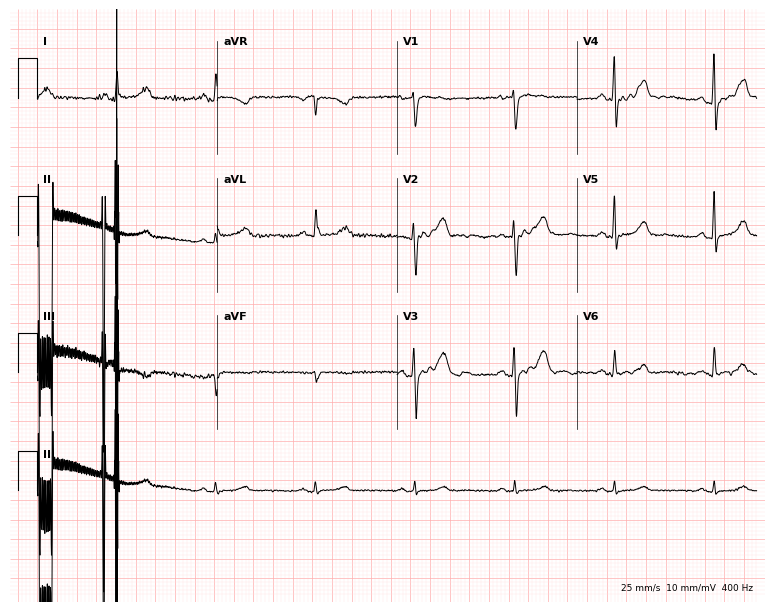
12-lead ECG from a female patient, 59 years old. Labelled as a normal ECG.